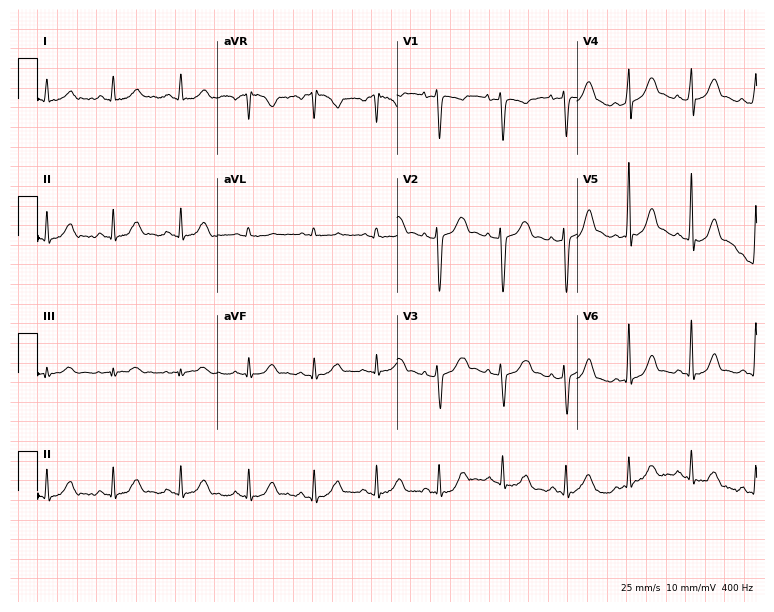
12-lead ECG (7.3-second recording at 400 Hz) from a 25-year-old female. Screened for six findings — first-degree AV block, right bundle branch block (RBBB), left bundle branch block (LBBB), sinus bradycardia, atrial fibrillation (AF), sinus tachycardia — none is recorded.